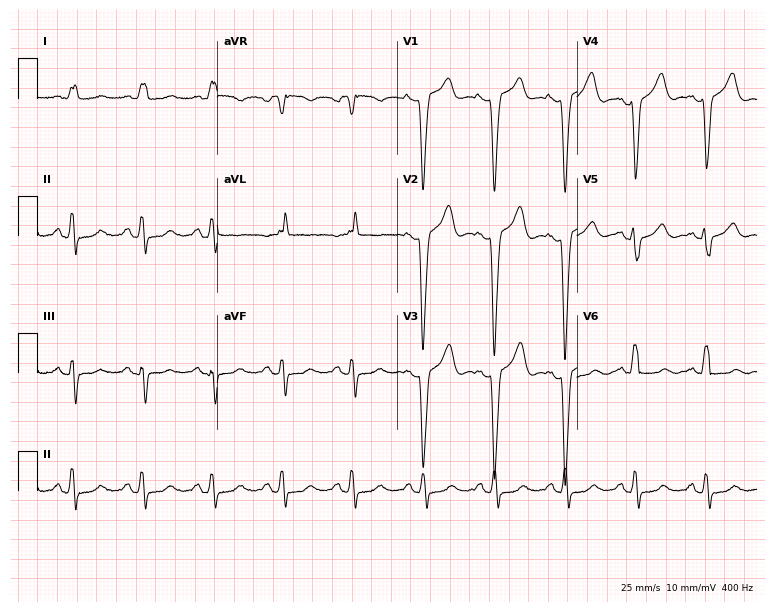
Electrocardiogram (7.3-second recording at 400 Hz), a 59-year-old woman. Interpretation includes left bundle branch block.